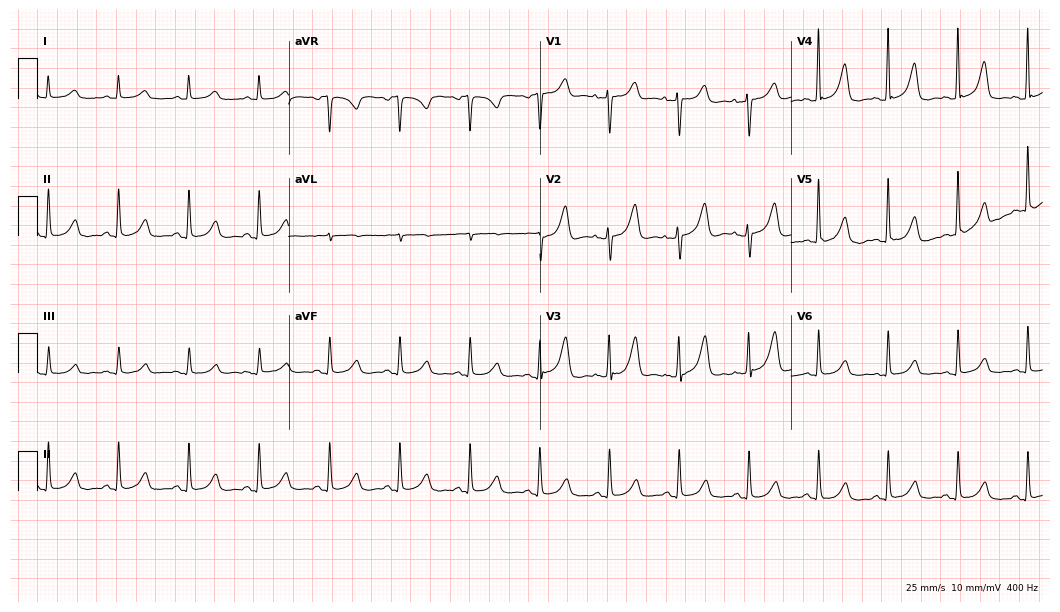
ECG — a female patient, 64 years old. Labelled as a normal ECG.